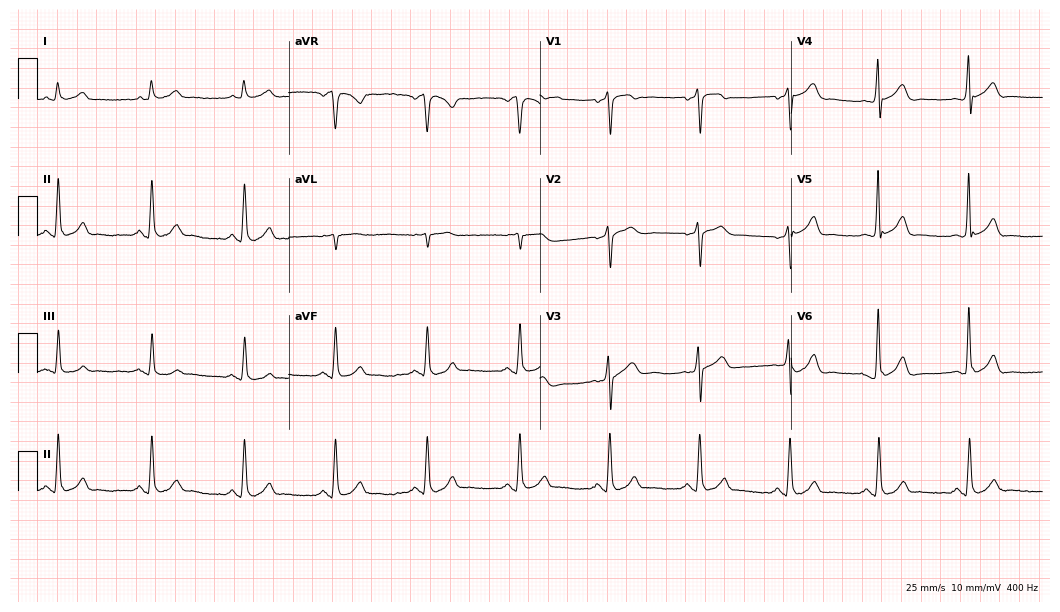
Resting 12-lead electrocardiogram. Patient: a 67-year-old male. None of these six findings is recorded: first-degree AV block, right bundle branch block, left bundle branch block, sinus bradycardia, atrial fibrillation, sinus tachycardia.